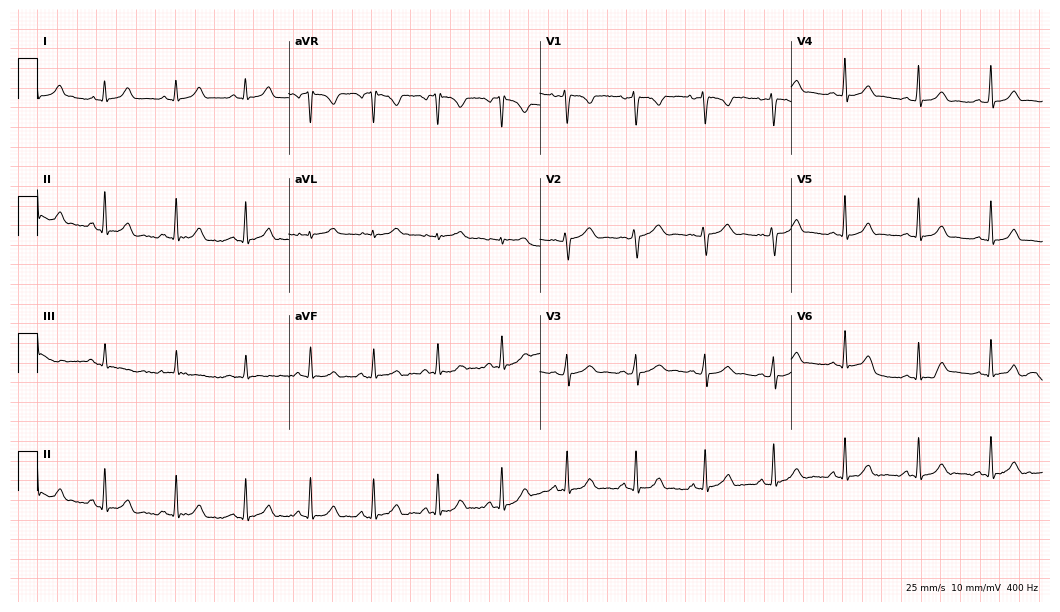
Electrocardiogram, a female, 30 years old. Overall reading on record: normal ECG.